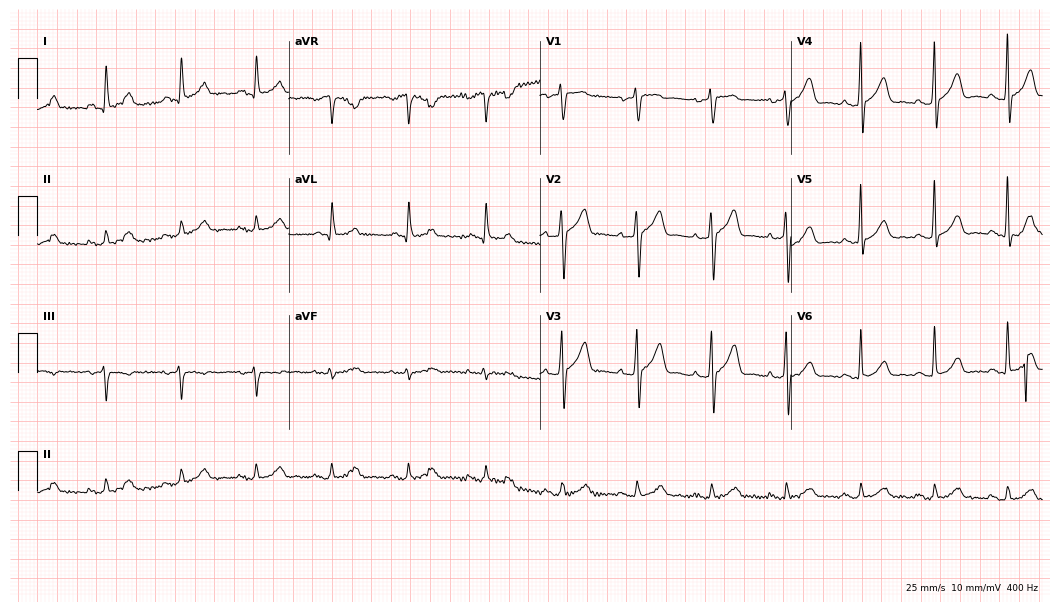
ECG — a male patient, 50 years old. Labelled as a normal ECG.